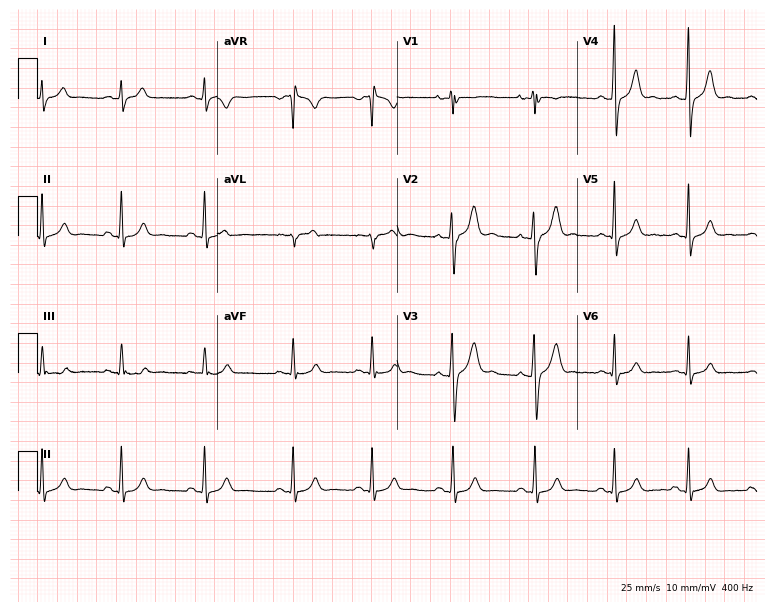
12-lead ECG from a 25-year-old man. Recorded interpretation: within normal limits.